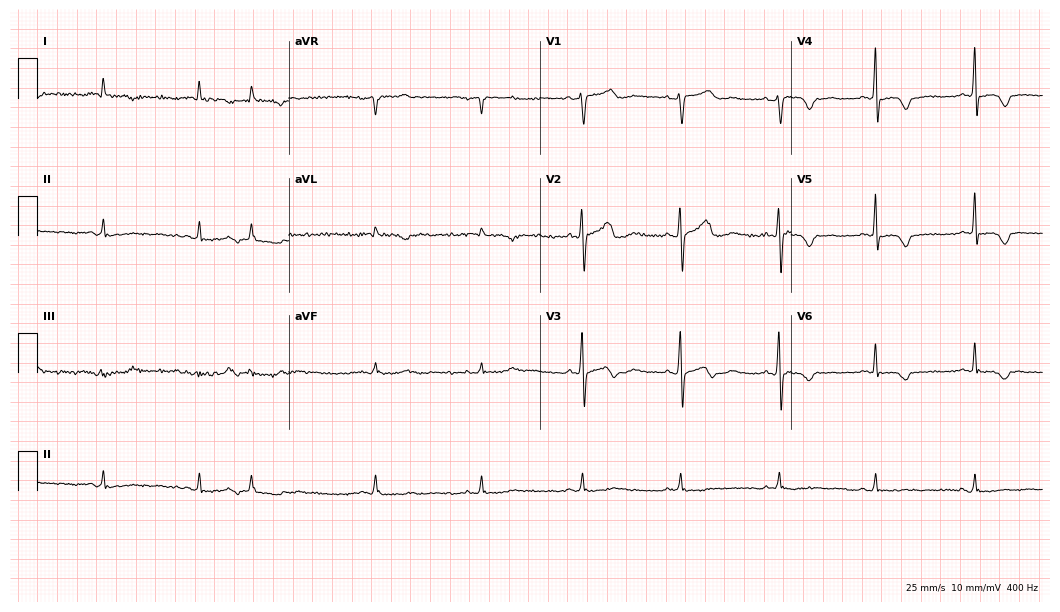
Standard 12-lead ECG recorded from a female patient, 60 years old. None of these six findings is recorded: first-degree AV block, right bundle branch block, left bundle branch block, sinus bradycardia, atrial fibrillation, sinus tachycardia. Findings outside these six are not listed.